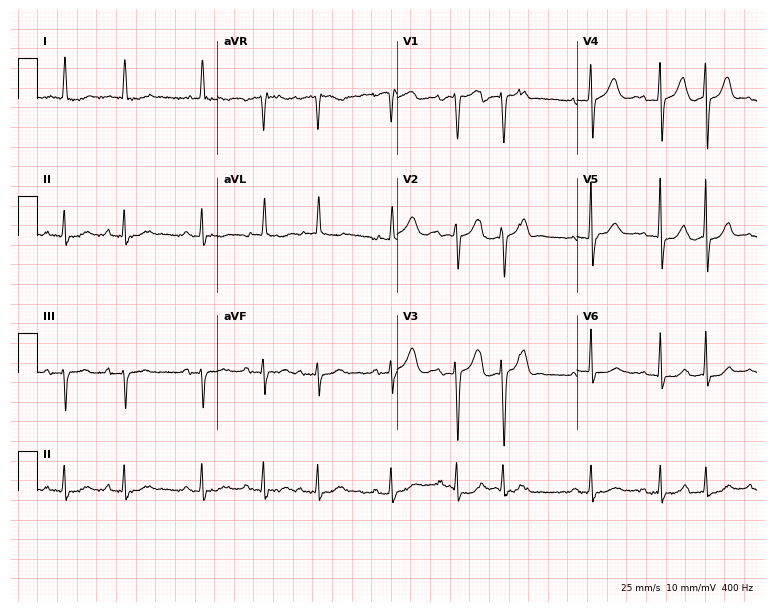
Resting 12-lead electrocardiogram (7.3-second recording at 400 Hz). Patient: an 85-year-old female. Read as a normal ECG.